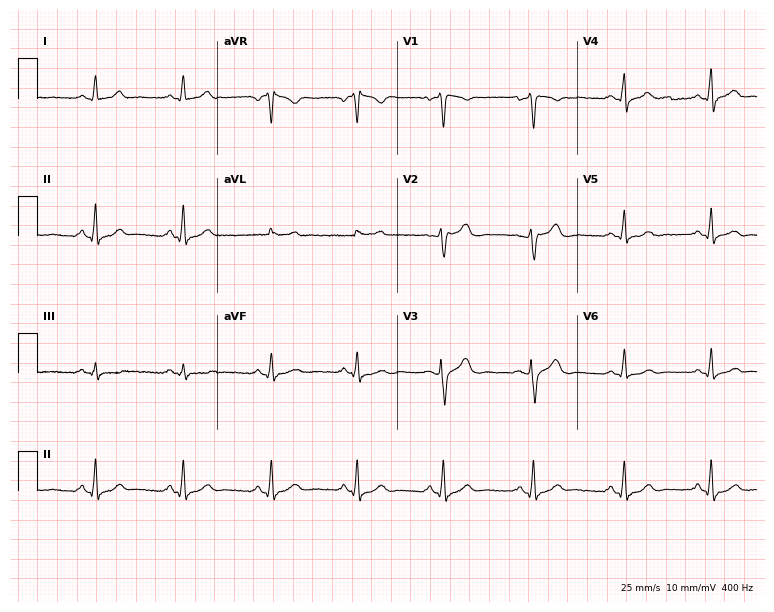
Resting 12-lead electrocardiogram. Patient: a 37-year-old female. Read as a normal ECG.